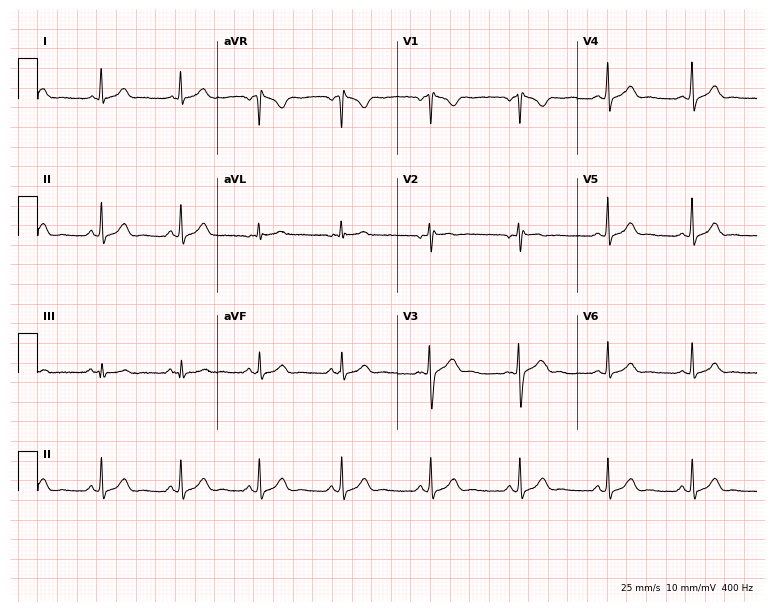
12-lead ECG from a woman, 22 years old. Labelled as a normal ECG.